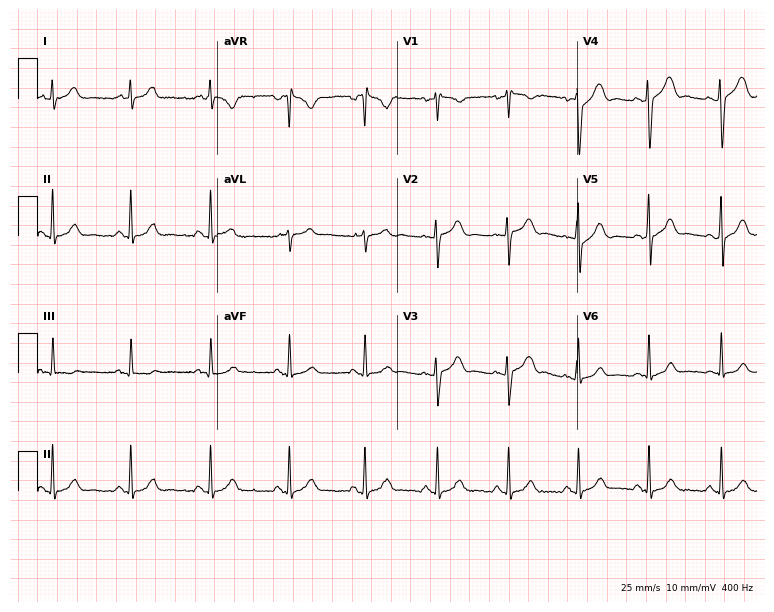
Electrocardiogram (7.3-second recording at 400 Hz), a 25-year-old woman. Overall reading on record: normal ECG.